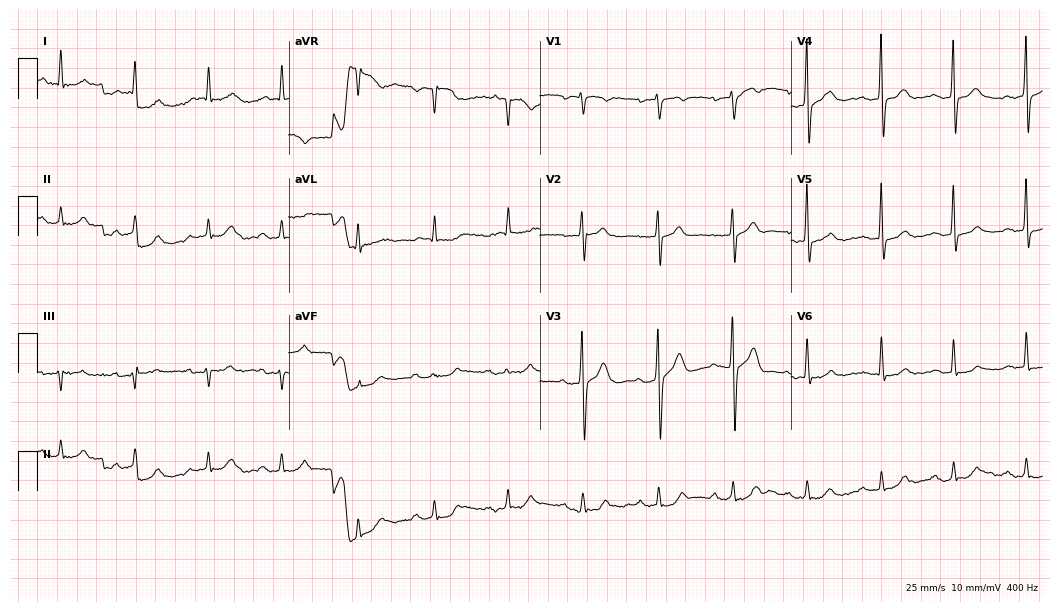
12-lead ECG from a 64-year-old male patient (10.2-second recording at 400 Hz). No first-degree AV block, right bundle branch block (RBBB), left bundle branch block (LBBB), sinus bradycardia, atrial fibrillation (AF) or sinus tachycardia recorded for this tracing. Other findings, if any, are not listed.